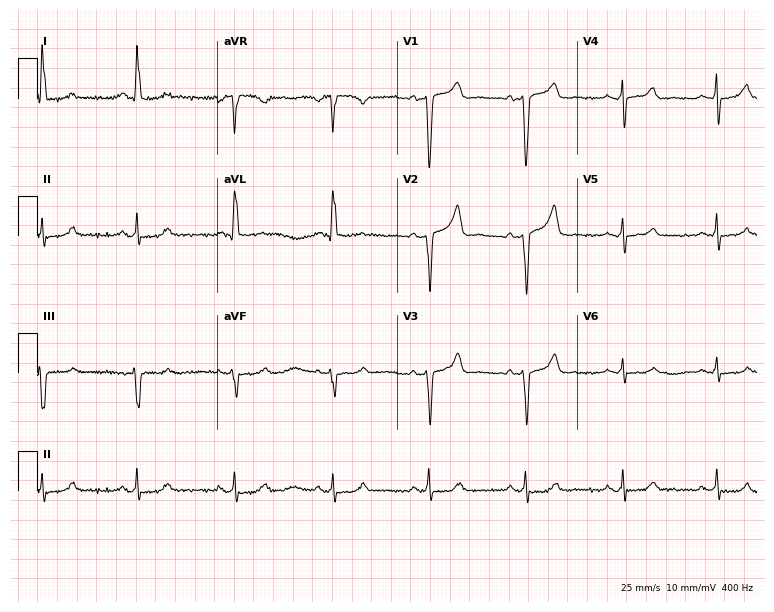
Resting 12-lead electrocardiogram (7.3-second recording at 400 Hz). Patient: a 65-year-old female. None of these six findings is recorded: first-degree AV block, right bundle branch block (RBBB), left bundle branch block (LBBB), sinus bradycardia, atrial fibrillation (AF), sinus tachycardia.